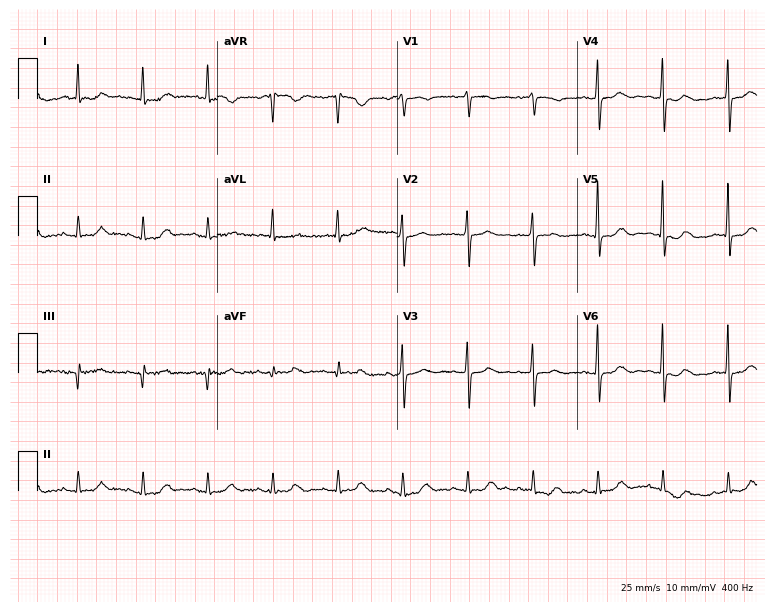
Standard 12-lead ECG recorded from a female, 80 years old (7.3-second recording at 400 Hz). None of these six findings is recorded: first-degree AV block, right bundle branch block, left bundle branch block, sinus bradycardia, atrial fibrillation, sinus tachycardia. Other findings, if any, are not listed.